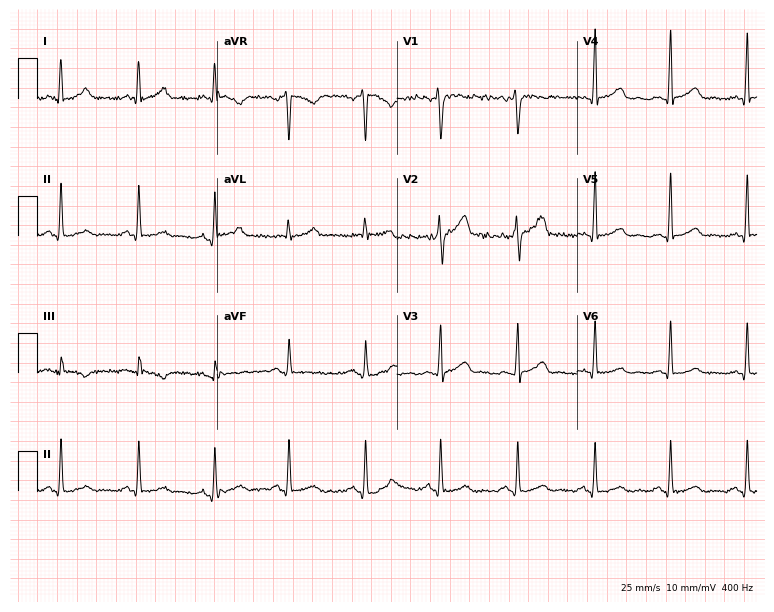
ECG — a male patient, 41 years old. Labelled as a normal ECG.